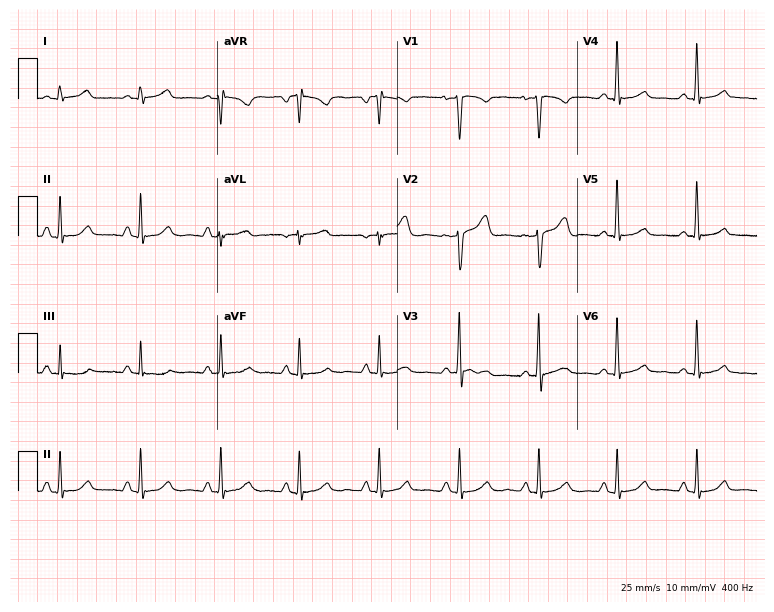
12-lead ECG from a female, 41 years old (7.3-second recording at 400 Hz). Recorded interpretation: within normal limits.